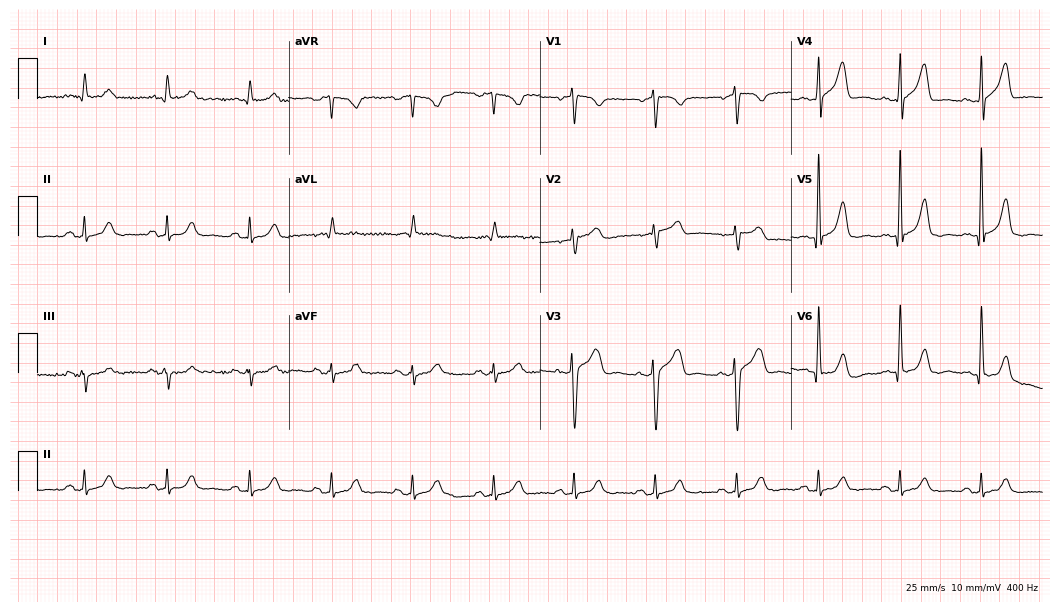
Standard 12-lead ECG recorded from a male, 73 years old (10.2-second recording at 400 Hz). Read as a normal ECG.